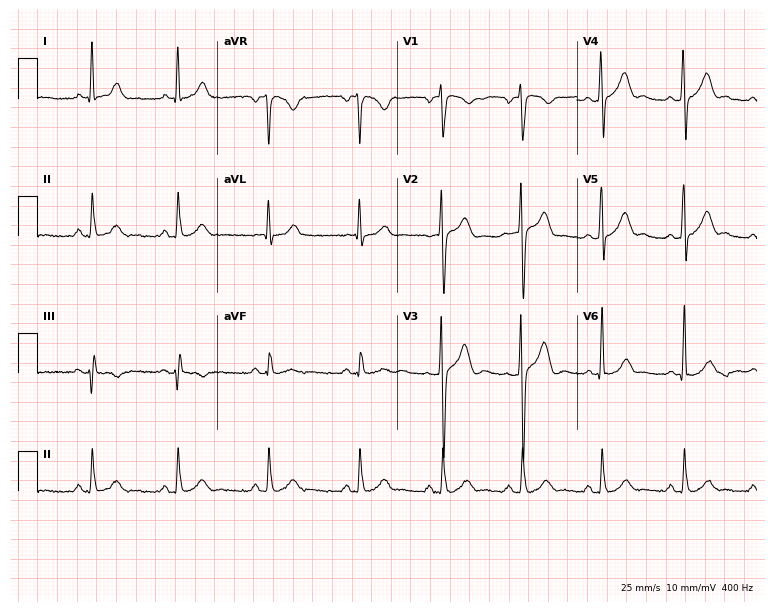
Electrocardiogram, a male, 32 years old. Overall reading on record: normal ECG.